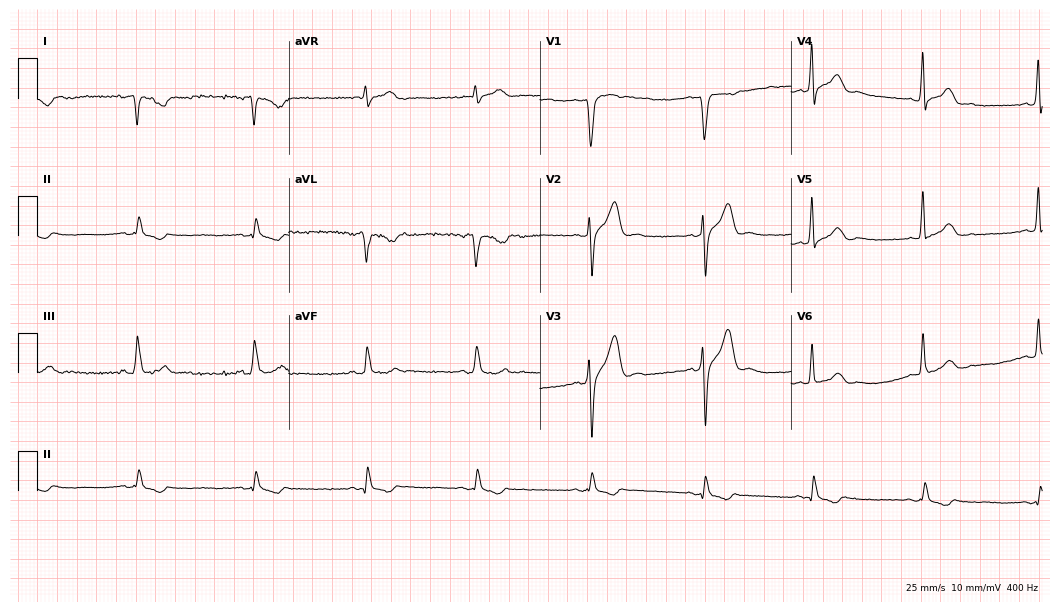
Standard 12-lead ECG recorded from a 45-year-old man (10.2-second recording at 400 Hz). None of these six findings is recorded: first-degree AV block, right bundle branch block, left bundle branch block, sinus bradycardia, atrial fibrillation, sinus tachycardia.